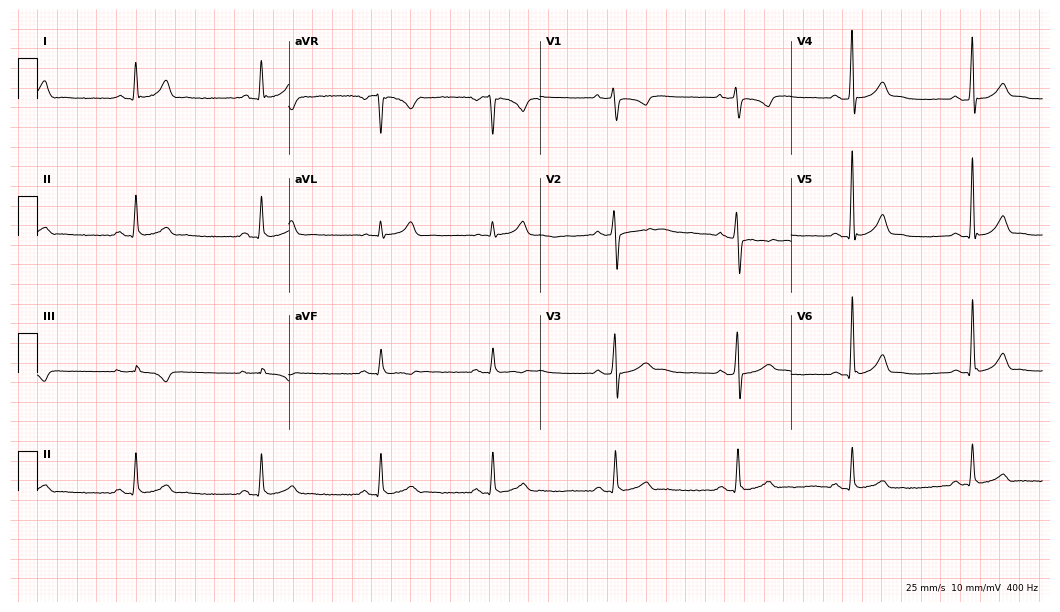
Resting 12-lead electrocardiogram (10.2-second recording at 400 Hz). Patient: a 30-year-old man. The tracing shows sinus bradycardia (a sinus rate of 50 beats per minute or less).